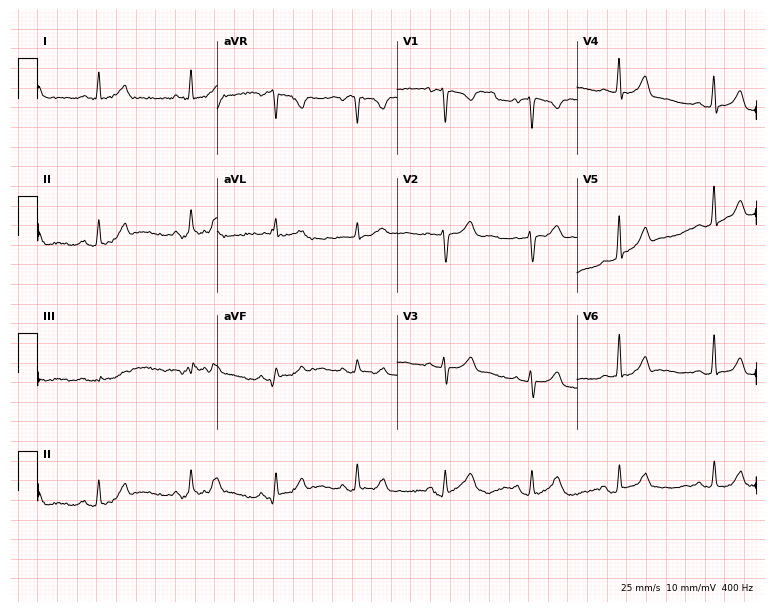
Electrocardiogram, a 46-year-old woman. Of the six screened findings (first-degree AV block, right bundle branch block, left bundle branch block, sinus bradycardia, atrial fibrillation, sinus tachycardia), none is recorded. Other findings, if any, are not listed.